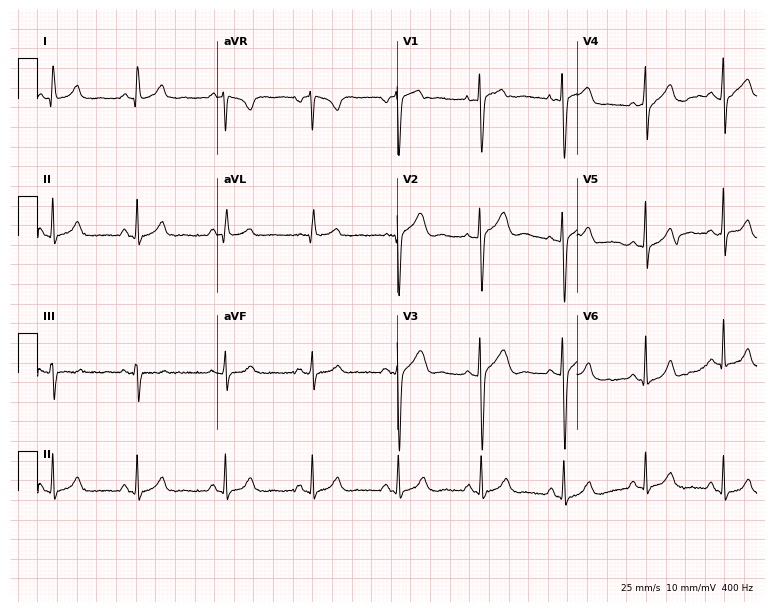
12-lead ECG from a woman, 17 years old (7.3-second recording at 400 Hz). Recorded interpretation: within normal limits.